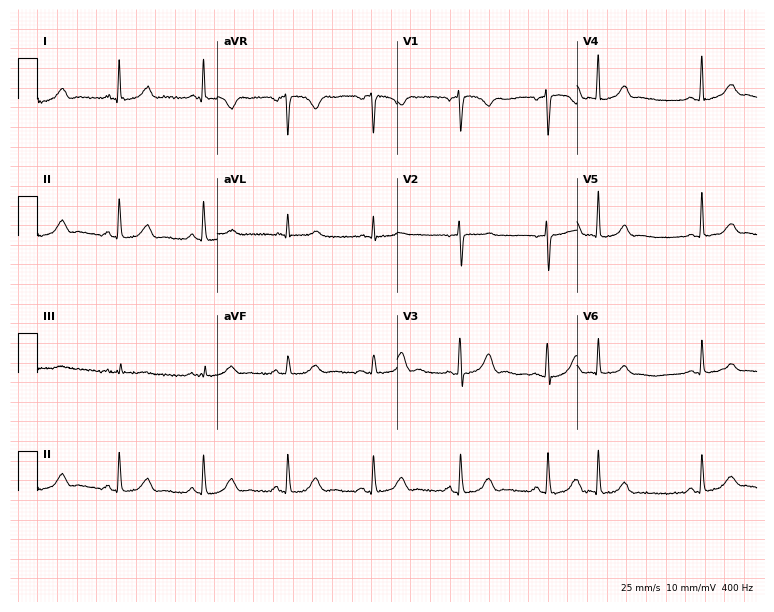
Resting 12-lead electrocardiogram (7.3-second recording at 400 Hz). Patient: a 75-year-old female. Read as a normal ECG.